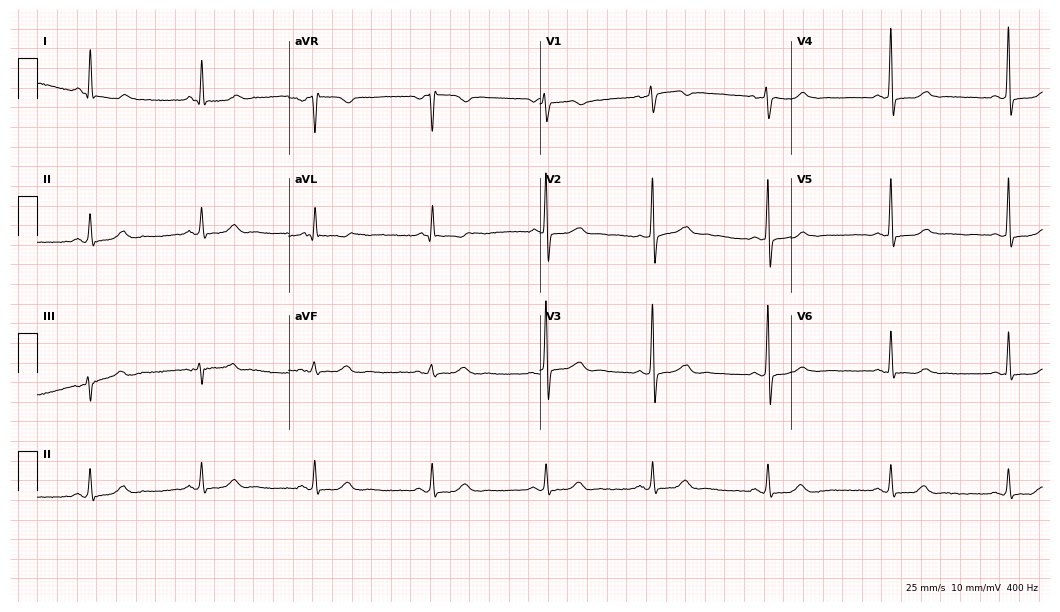
ECG (10.2-second recording at 400 Hz) — a female patient, 52 years old. Screened for six findings — first-degree AV block, right bundle branch block, left bundle branch block, sinus bradycardia, atrial fibrillation, sinus tachycardia — none is recorded.